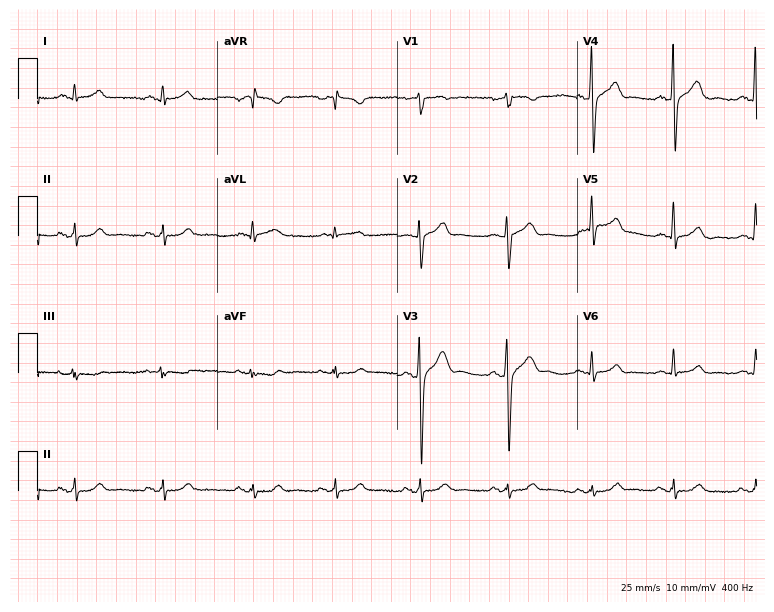
Resting 12-lead electrocardiogram (7.3-second recording at 400 Hz). Patient: a 45-year-old male. None of these six findings is recorded: first-degree AV block, right bundle branch block (RBBB), left bundle branch block (LBBB), sinus bradycardia, atrial fibrillation (AF), sinus tachycardia.